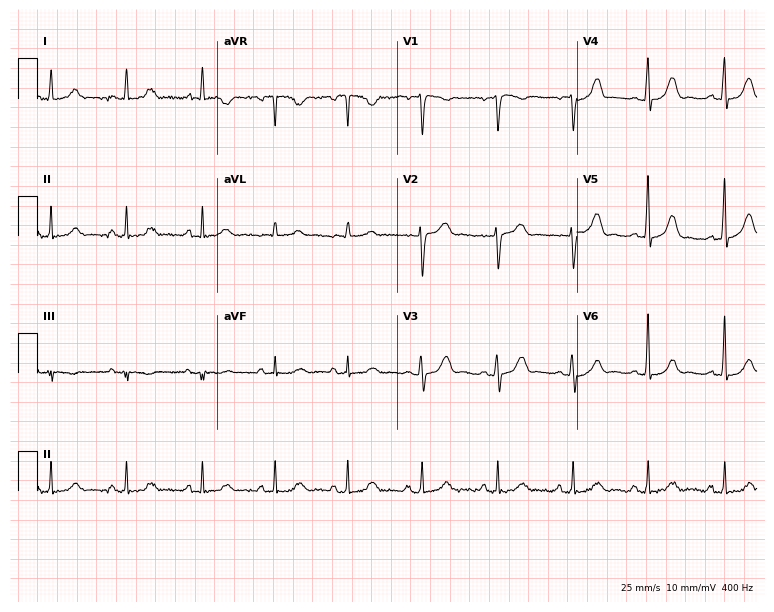
Resting 12-lead electrocardiogram. Patient: a 51-year-old female. Read as a normal ECG.